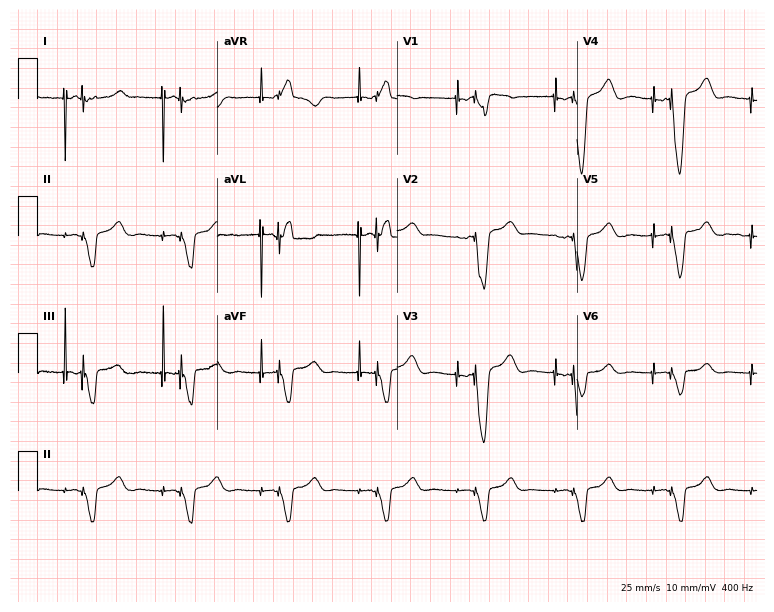
Resting 12-lead electrocardiogram (7.3-second recording at 400 Hz). Patient: a woman, 70 years old. None of these six findings is recorded: first-degree AV block, right bundle branch block, left bundle branch block, sinus bradycardia, atrial fibrillation, sinus tachycardia. Other findings, if any, are not listed.